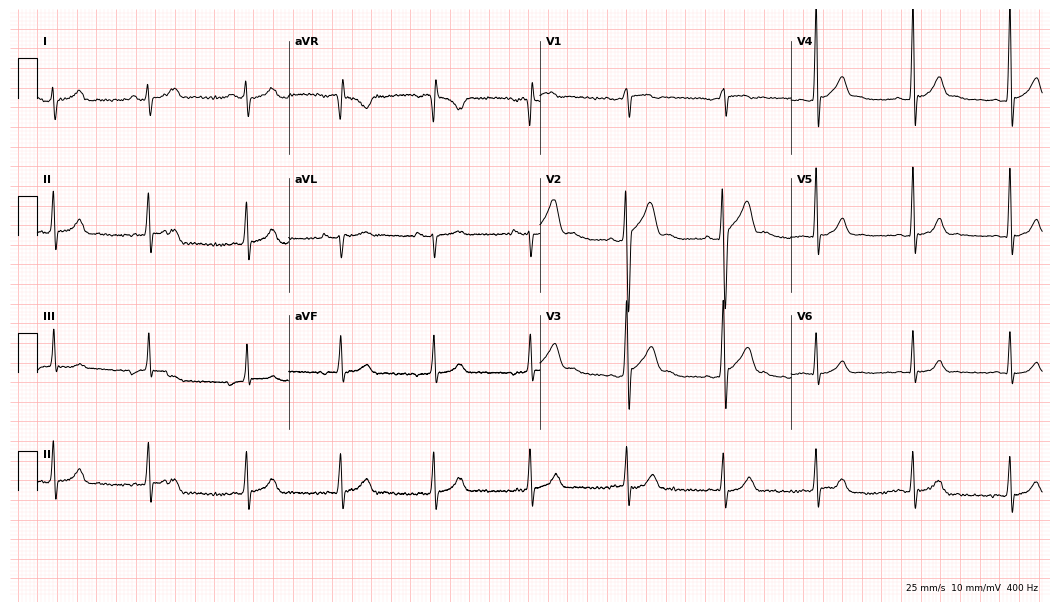
Electrocardiogram, a male patient, 18 years old. Of the six screened findings (first-degree AV block, right bundle branch block (RBBB), left bundle branch block (LBBB), sinus bradycardia, atrial fibrillation (AF), sinus tachycardia), none is recorded.